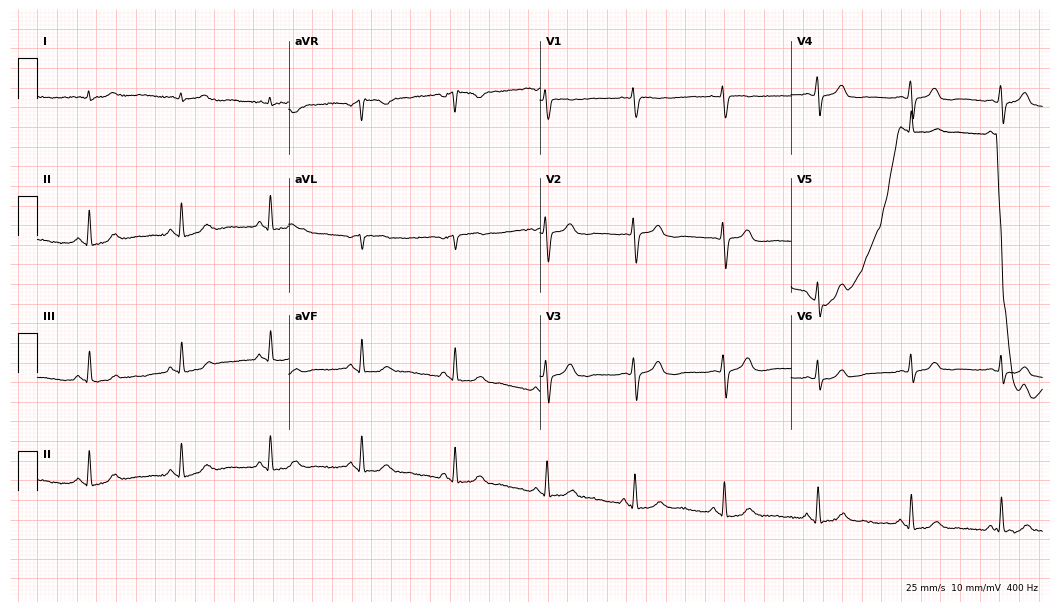
Resting 12-lead electrocardiogram. Patient: a female, 41 years old. Read as a normal ECG.